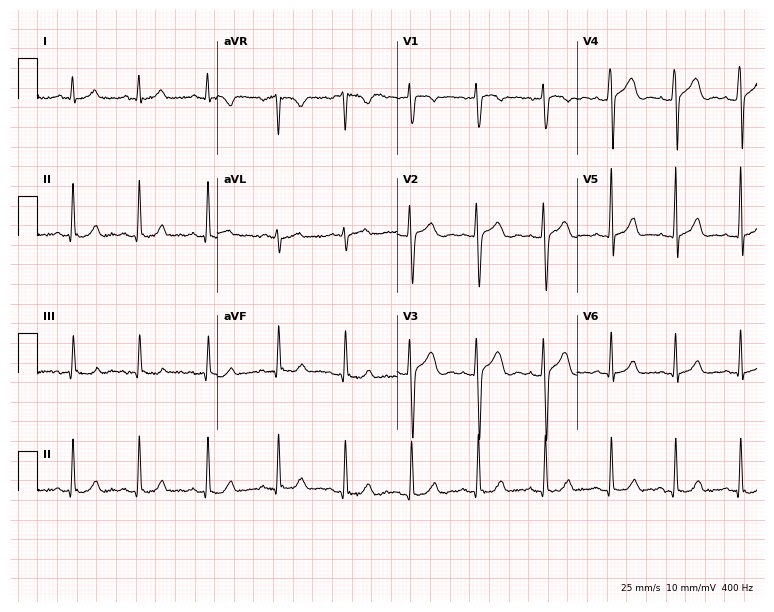
Resting 12-lead electrocardiogram (7.3-second recording at 400 Hz). Patient: a 22-year-old female. None of these six findings is recorded: first-degree AV block, right bundle branch block, left bundle branch block, sinus bradycardia, atrial fibrillation, sinus tachycardia.